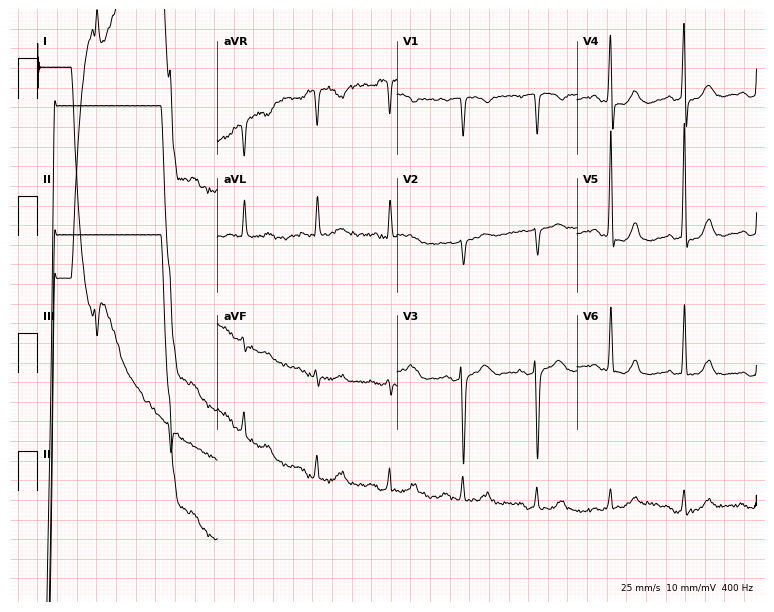
ECG (7.3-second recording at 400 Hz) — a 73-year-old female patient. Screened for six findings — first-degree AV block, right bundle branch block, left bundle branch block, sinus bradycardia, atrial fibrillation, sinus tachycardia — none is recorded.